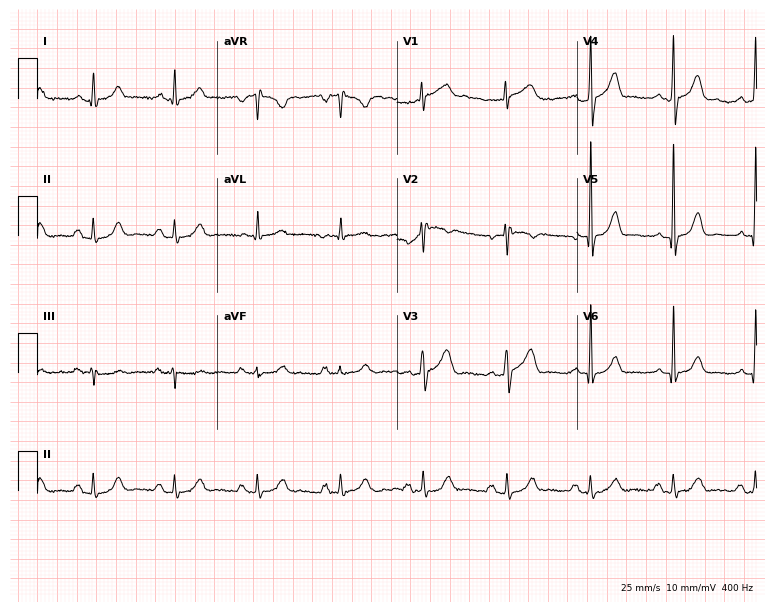
Resting 12-lead electrocardiogram. Patient: a male, 66 years old. Read as a normal ECG.